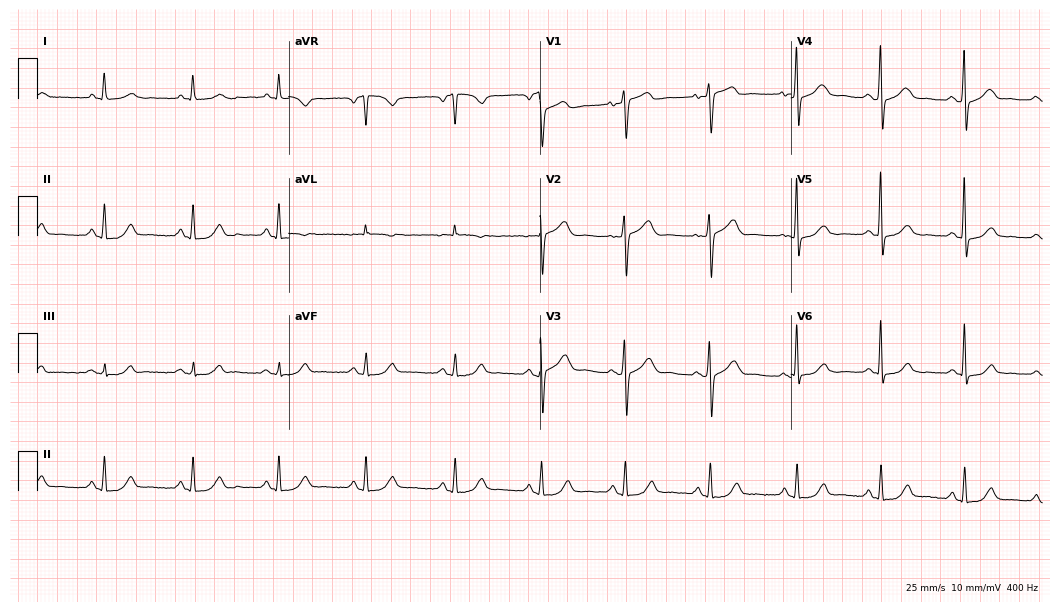
Standard 12-lead ECG recorded from a 67-year-old woman (10.2-second recording at 400 Hz). Read as a normal ECG.